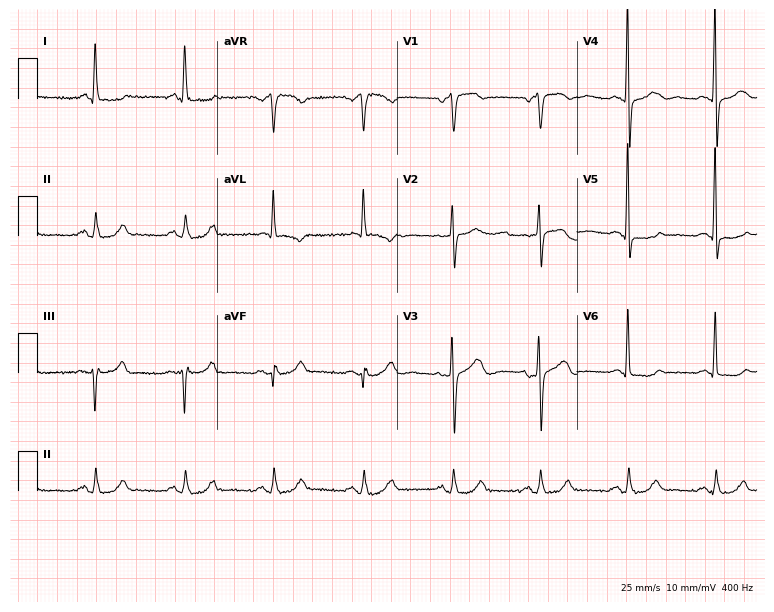
ECG (7.3-second recording at 400 Hz) — a female, 70 years old. Labelled as a normal ECG.